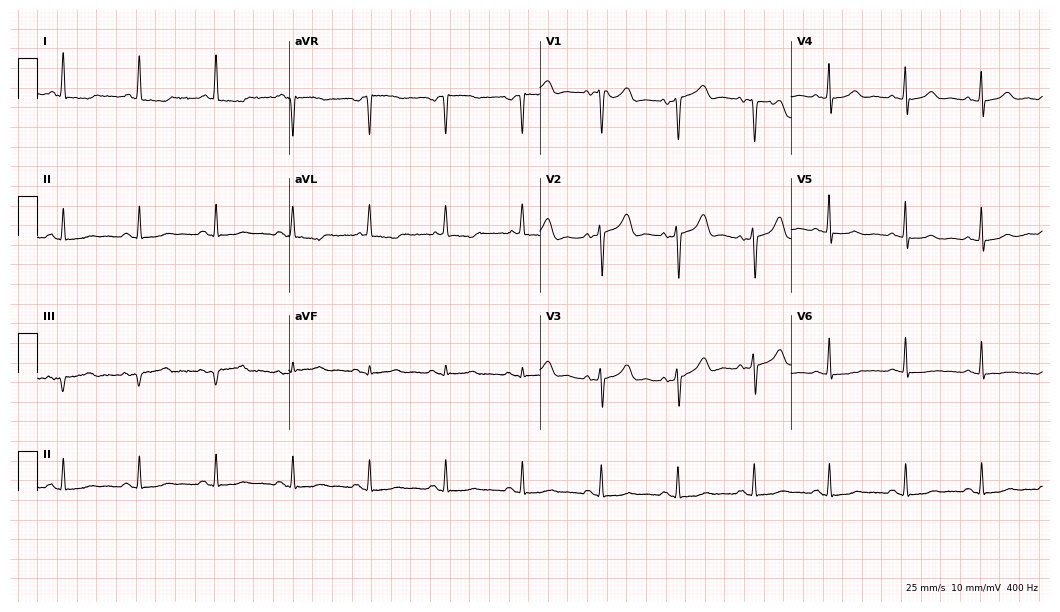
12-lead ECG from a female patient, 70 years old. No first-degree AV block, right bundle branch block, left bundle branch block, sinus bradycardia, atrial fibrillation or sinus tachycardia recorded for this tracing.